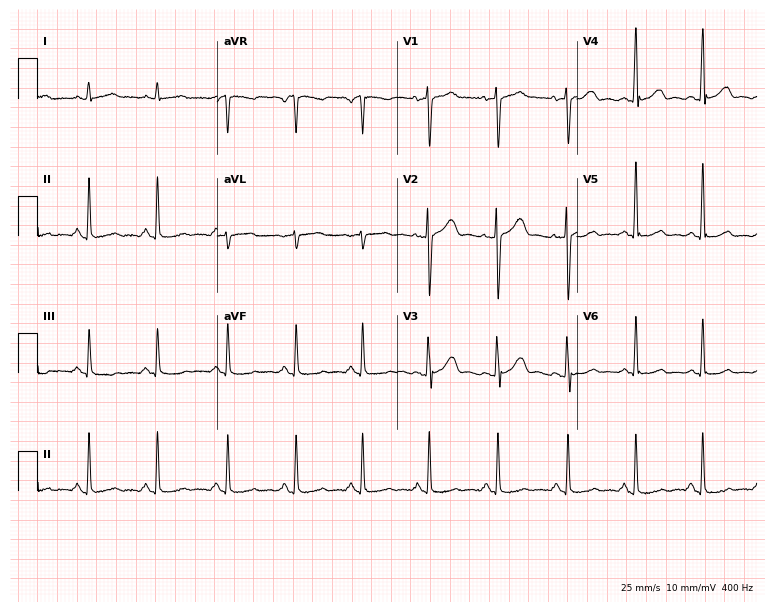
12-lead ECG from a woman, 36 years old (7.3-second recording at 400 Hz). Recorded interpretation: within normal limits.